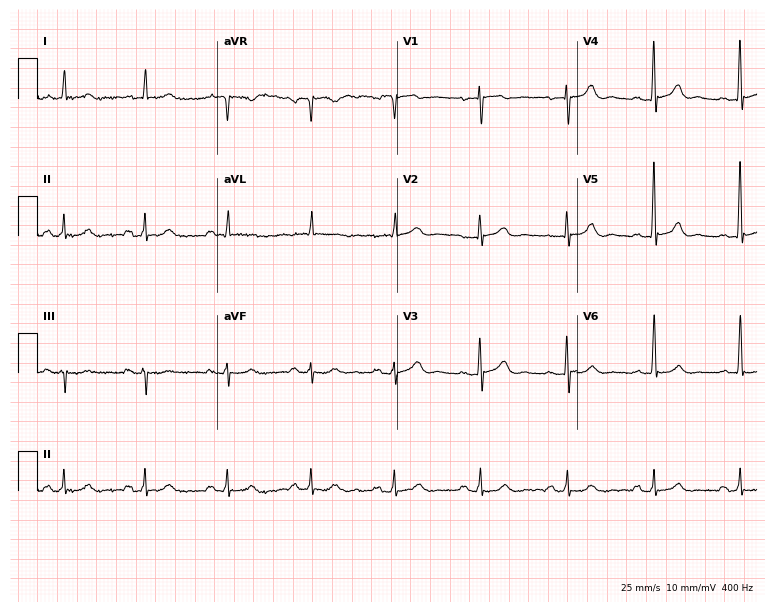
ECG (7.3-second recording at 400 Hz) — a male patient, 75 years old. Screened for six findings — first-degree AV block, right bundle branch block, left bundle branch block, sinus bradycardia, atrial fibrillation, sinus tachycardia — none is recorded.